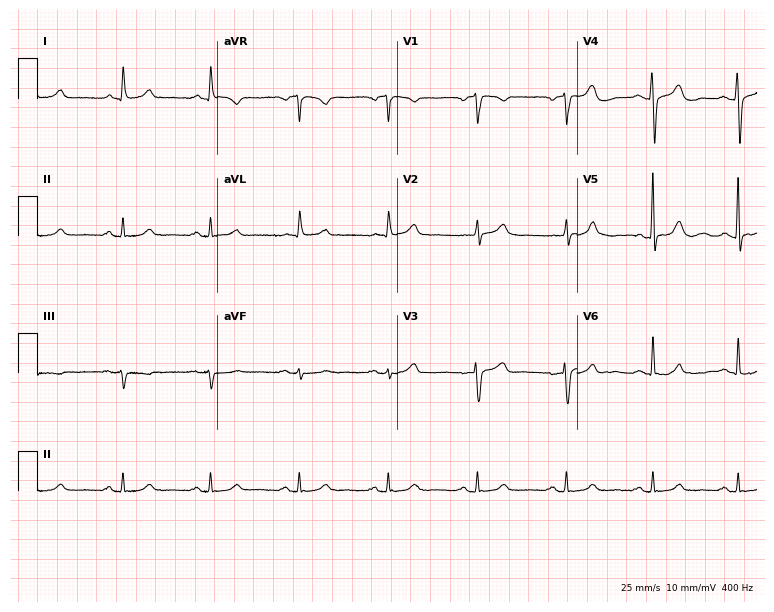
12-lead ECG from a female patient, 79 years old. Screened for six findings — first-degree AV block, right bundle branch block, left bundle branch block, sinus bradycardia, atrial fibrillation, sinus tachycardia — none is recorded. Only these six findings were labelled.